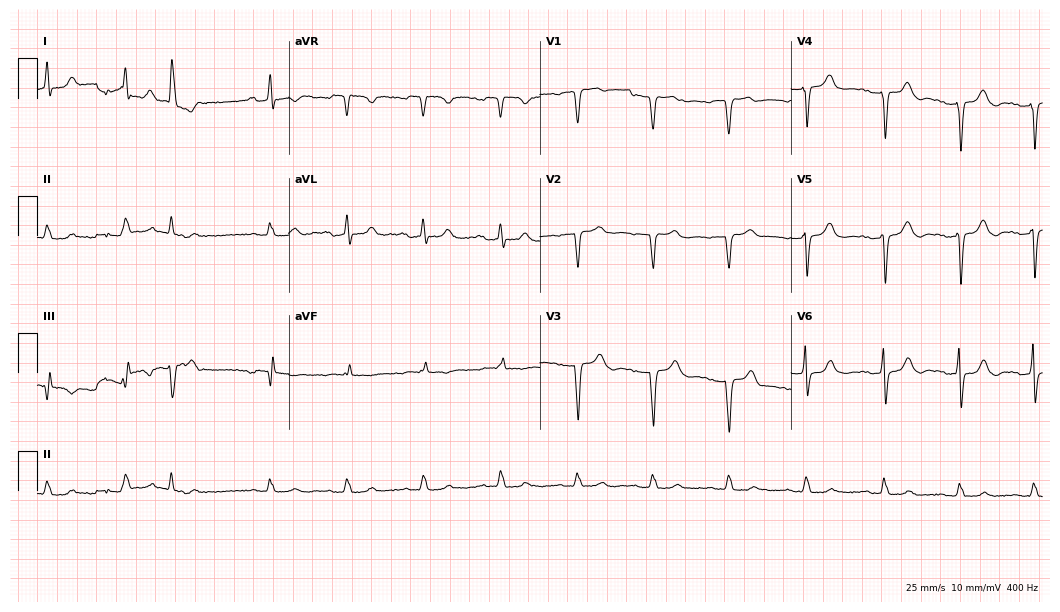
Electrocardiogram, an 85-year-old female. Of the six screened findings (first-degree AV block, right bundle branch block, left bundle branch block, sinus bradycardia, atrial fibrillation, sinus tachycardia), none is recorded. Only these six findings were labelled.